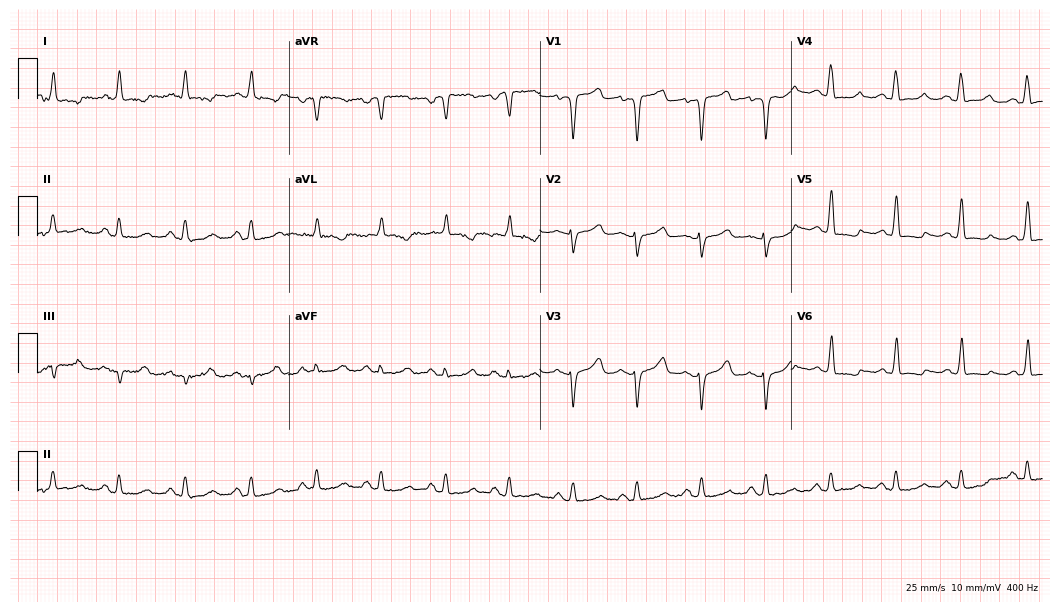
ECG — an 84-year-old woman. Screened for six findings — first-degree AV block, right bundle branch block, left bundle branch block, sinus bradycardia, atrial fibrillation, sinus tachycardia — none is recorded. Only these six findings were labelled.